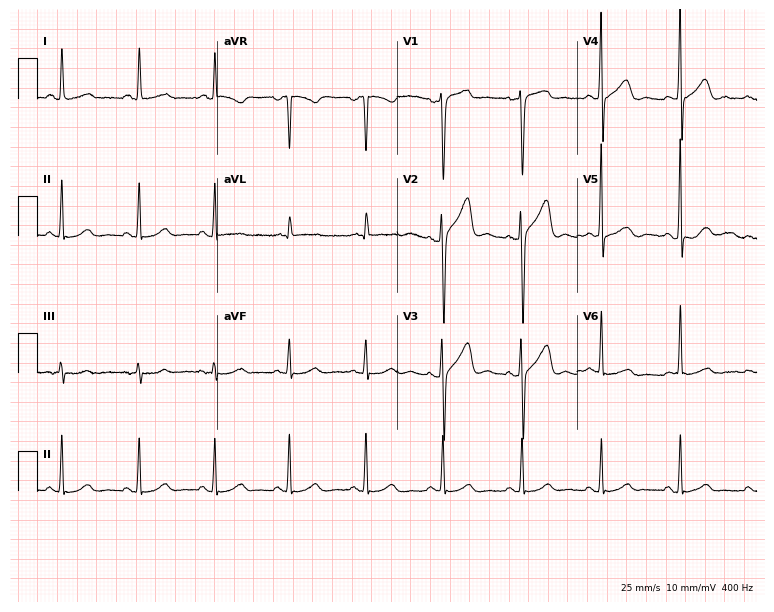
ECG (7.3-second recording at 400 Hz) — a female, 38 years old. Labelled as a normal ECG.